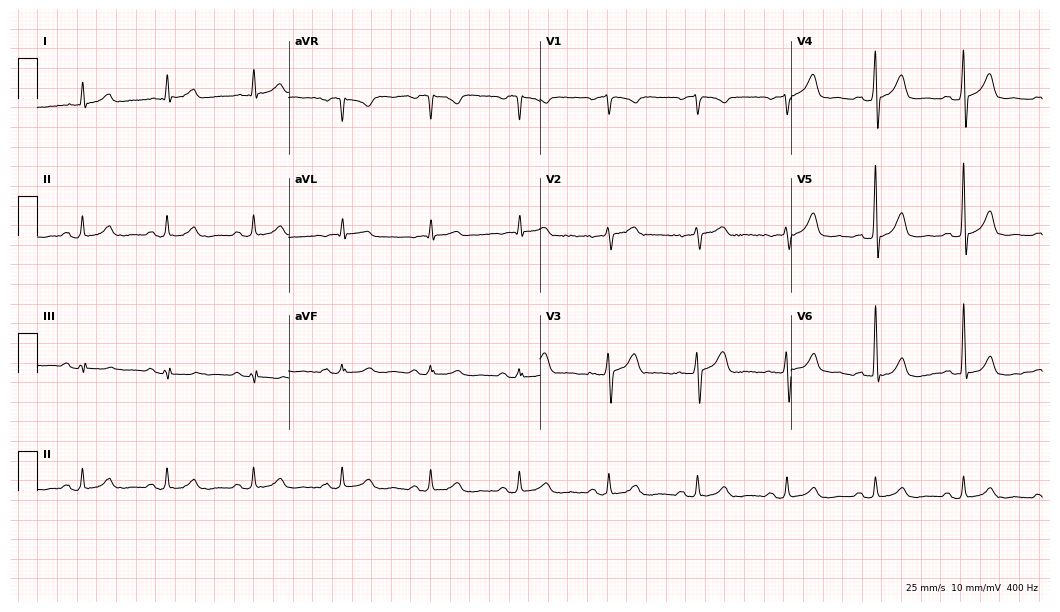
12-lead ECG from a male, 58 years old. Recorded interpretation: within normal limits.